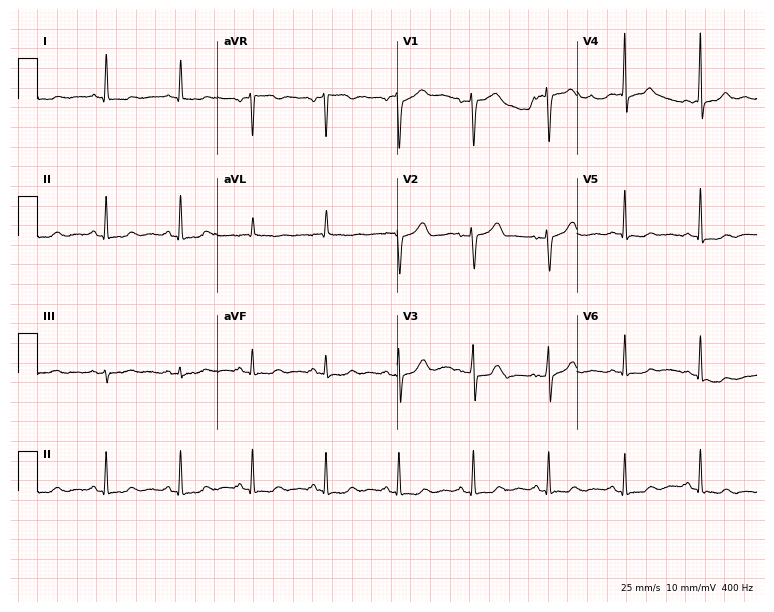
12-lead ECG from a 53-year-old female patient (7.3-second recording at 400 Hz). No first-degree AV block, right bundle branch block, left bundle branch block, sinus bradycardia, atrial fibrillation or sinus tachycardia recorded for this tracing.